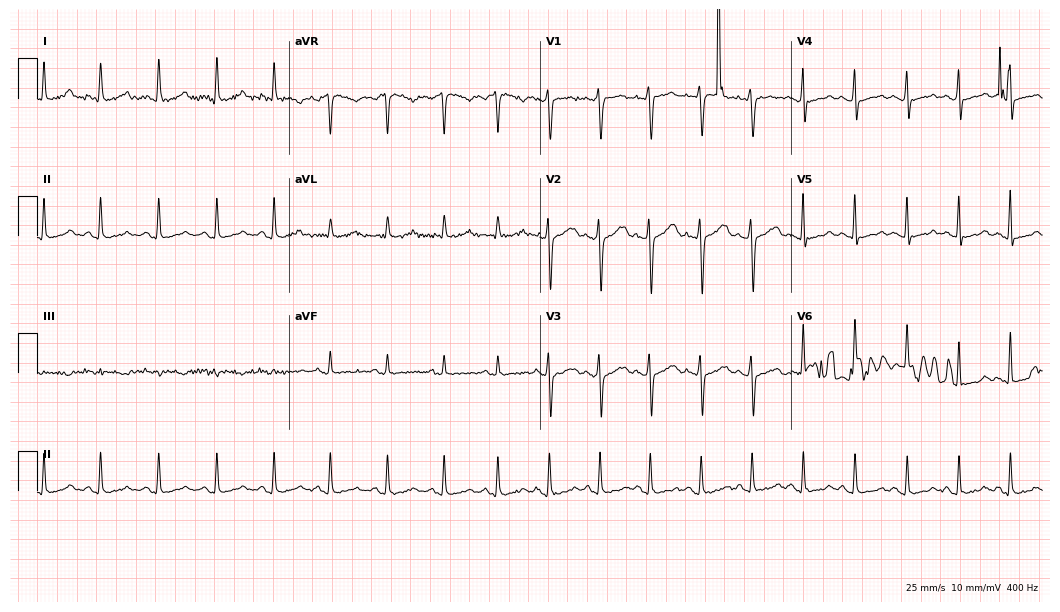
12-lead ECG from a 49-year-old female. Screened for six findings — first-degree AV block, right bundle branch block, left bundle branch block, sinus bradycardia, atrial fibrillation, sinus tachycardia — none is recorded.